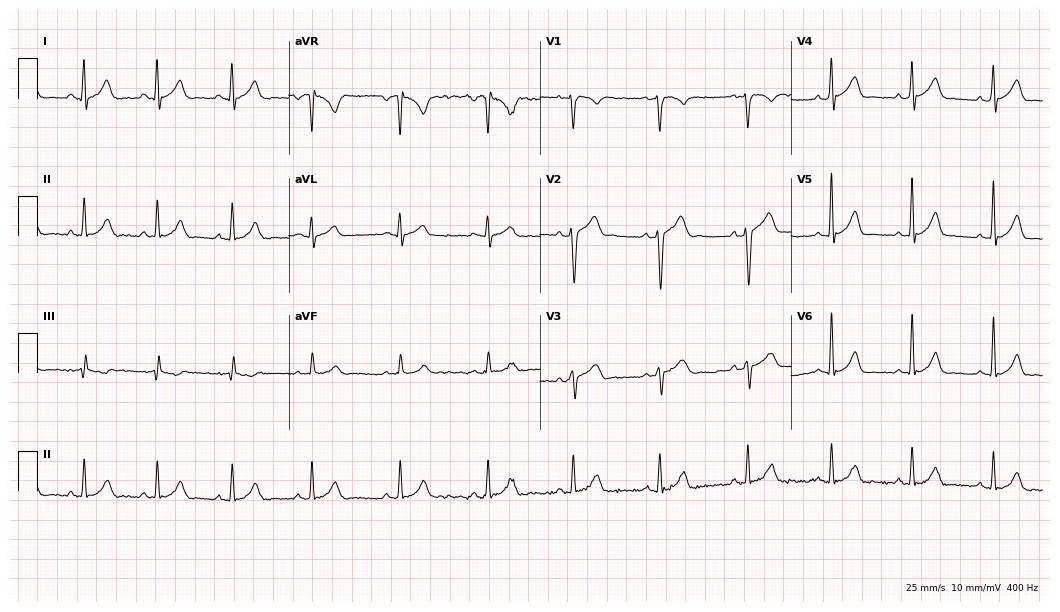
Standard 12-lead ECG recorded from a male, 22 years old (10.2-second recording at 400 Hz). None of these six findings is recorded: first-degree AV block, right bundle branch block, left bundle branch block, sinus bradycardia, atrial fibrillation, sinus tachycardia. Only these six findings were labelled.